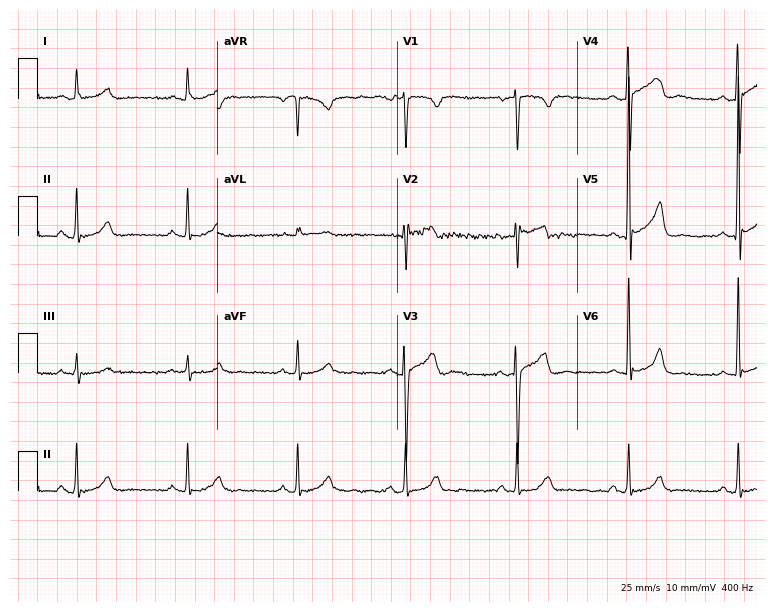
Standard 12-lead ECG recorded from a male, 52 years old. None of these six findings is recorded: first-degree AV block, right bundle branch block, left bundle branch block, sinus bradycardia, atrial fibrillation, sinus tachycardia.